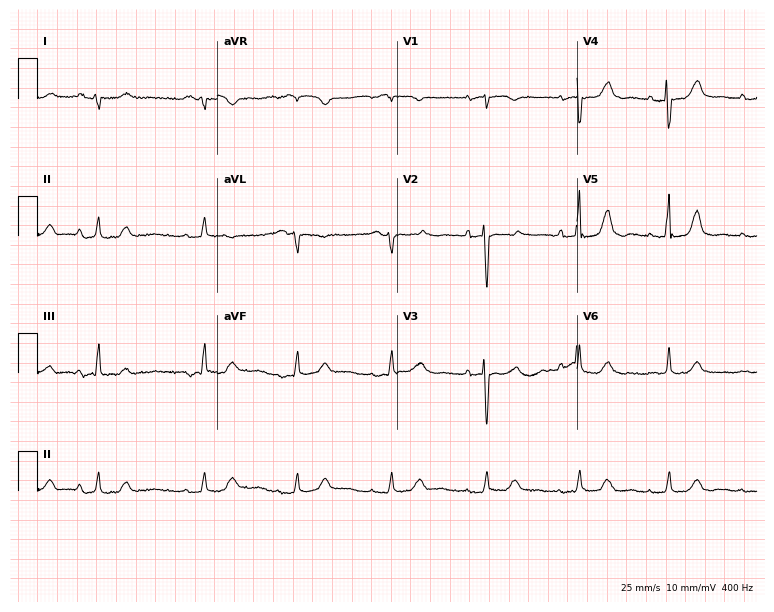
Resting 12-lead electrocardiogram. Patient: a woman, 52 years old. None of these six findings is recorded: first-degree AV block, right bundle branch block, left bundle branch block, sinus bradycardia, atrial fibrillation, sinus tachycardia.